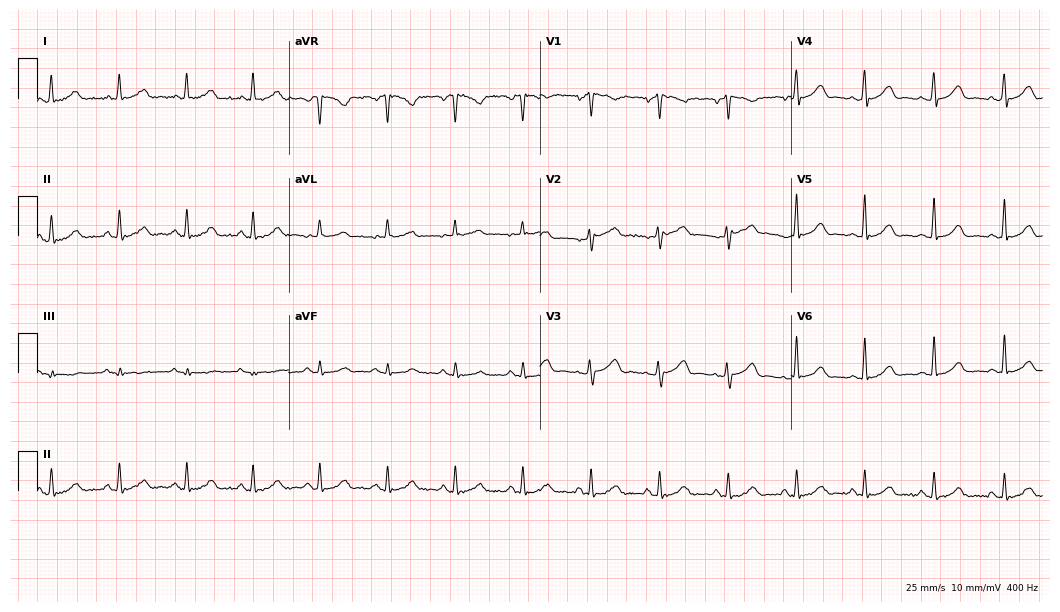
Standard 12-lead ECG recorded from a female, 60 years old. Read as a normal ECG.